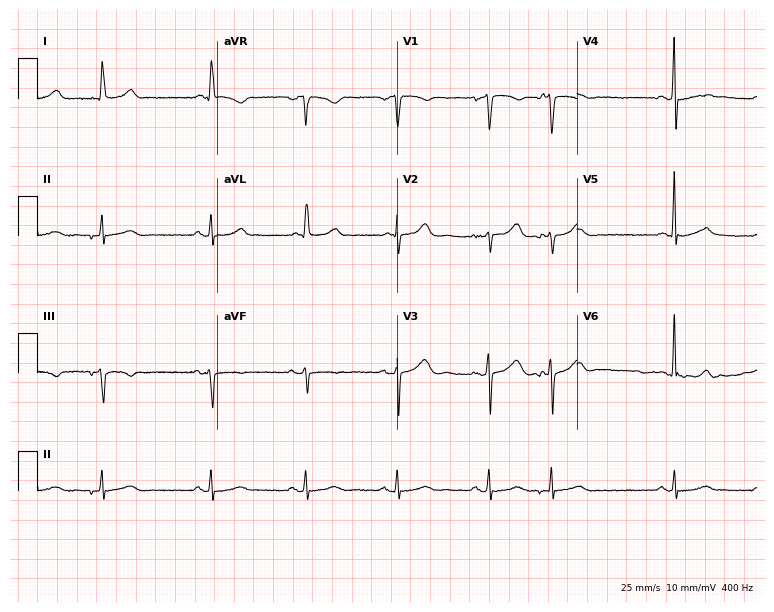
ECG (7.3-second recording at 400 Hz) — a 75-year-old female patient. Screened for six findings — first-degree AV block, right bundle branch block, left bundle branch block, sinus bradycardia, atrial fibrillation, sinus tachycardia — none is recorded. Other findings, if any, are not listed.